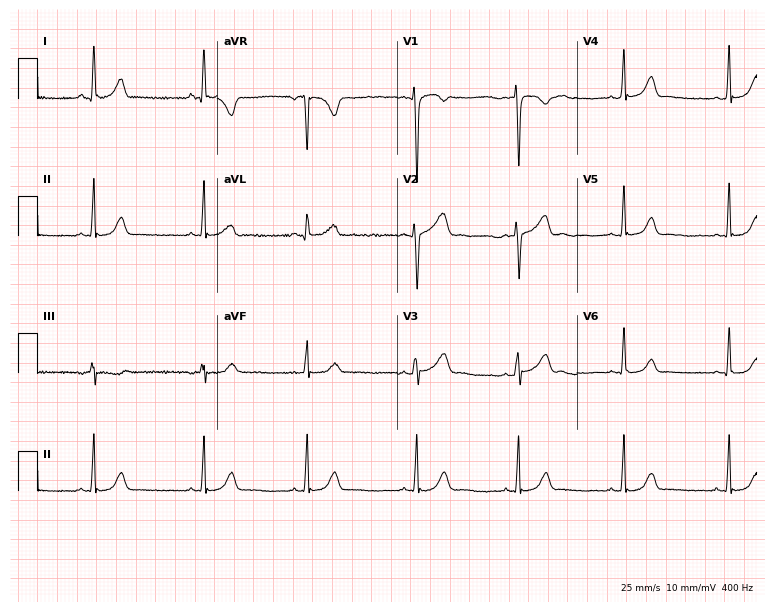
ECG — a 20-year-old female. Screened for six findings — first-degree AV block, right bundle branch block (RBBB), left bundle branch block (LBBB), sinus bradycardia, atrial fibrillation (AF), sinus tachycardia — none is recorded.